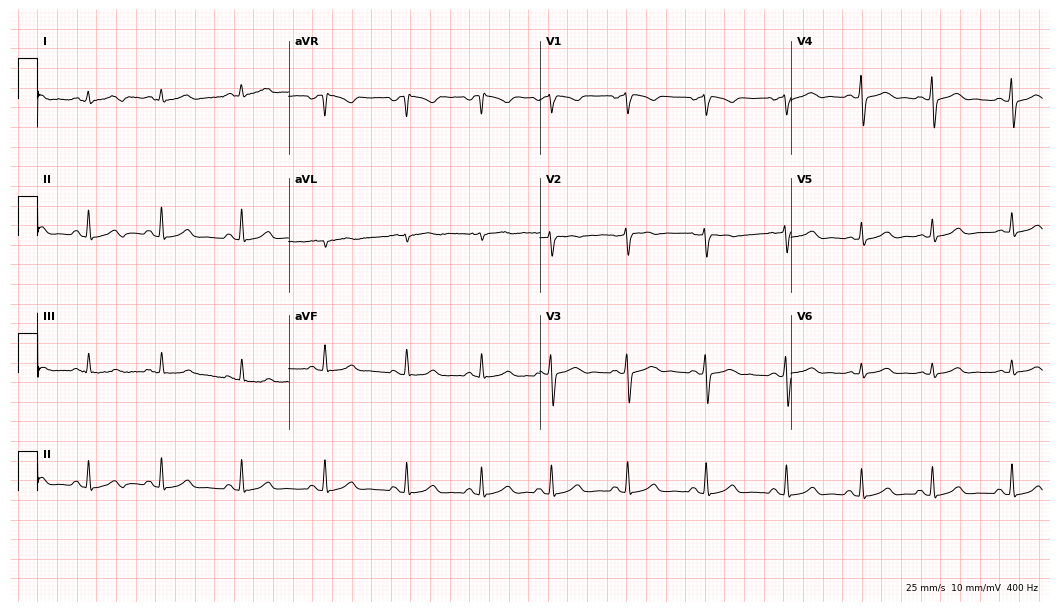
12-lead ECG from a 26-year-old female. No first-degree AV block, right bundle branch block, left bundle branch block, sinus bradycardia, atrial fibrillation or sinus tachycardia recorded for this tracing. Findings outside these six are not listed.